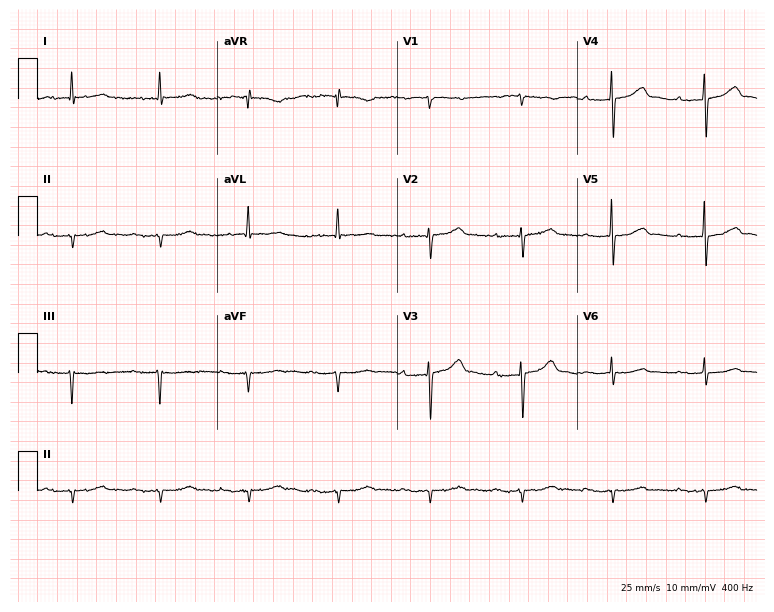
Electrocardiogram, an 81-year-old man. Overall reading on record: normal ECG.